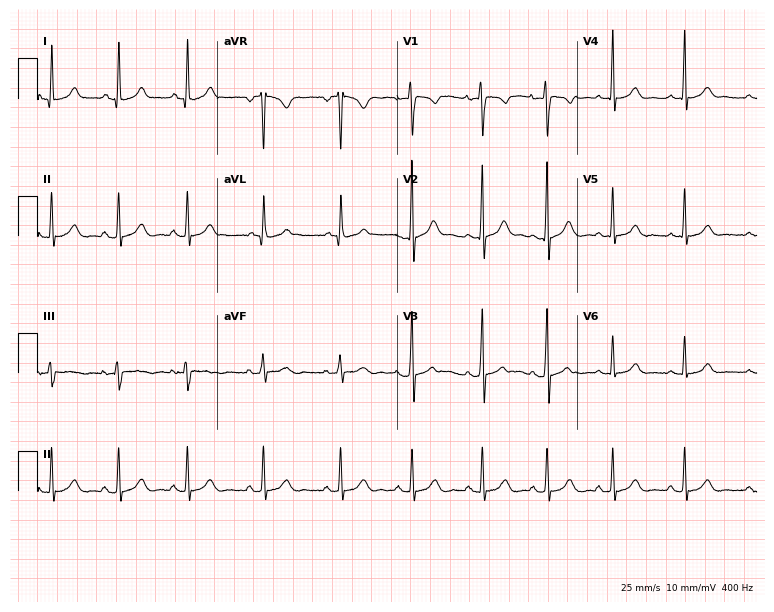
12-lead ECG from a female patient, 20 years old (7.3-second recording at 400 Hz). Recorded interpretation: within normal limits.